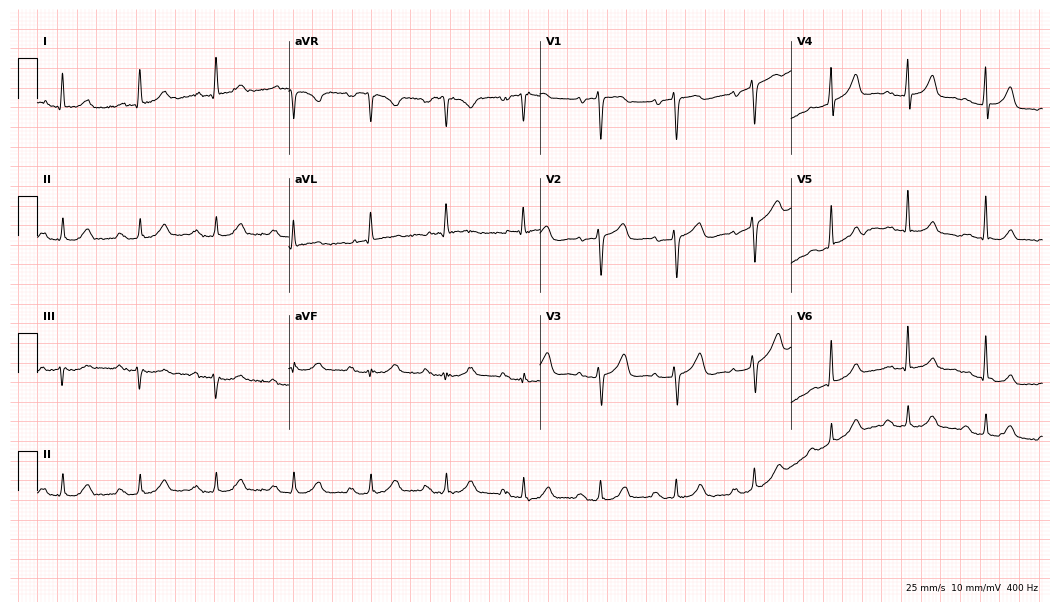
ECG (10.2-second recording at 400 Hz) — a 77-year-old woman. Findings include first-degree AV block.